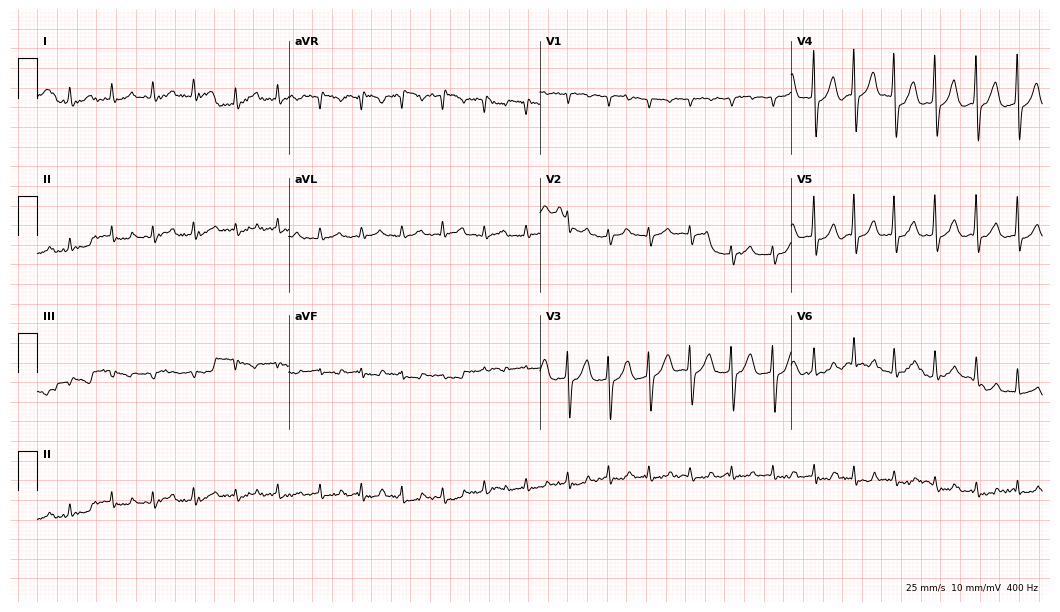
Standard 12-lead ECG recorded from a male, 73 years old. The tracing shows sinus tachycardia (a sinus rate of 100 beats per minute or more).